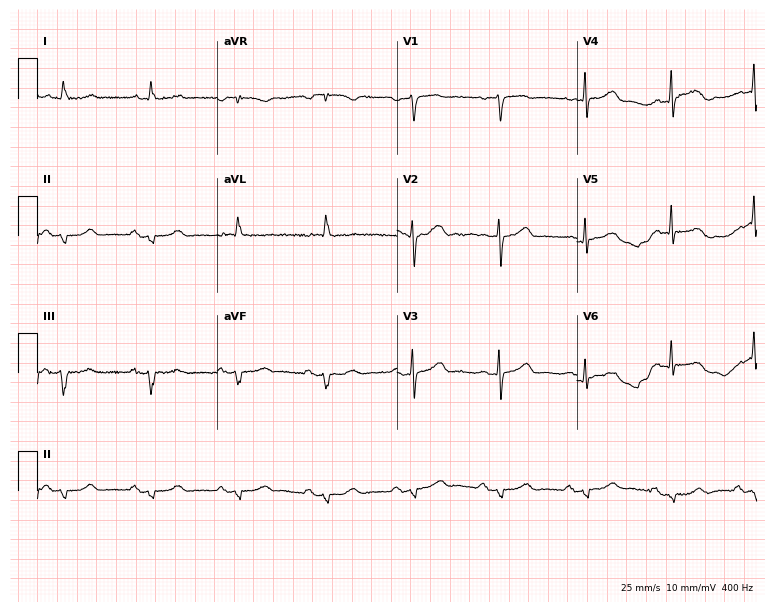
Electrocardiogram (7.3-second recording at 400 Hz), a female patient, 82 years old. Of the six screened findings (first-degree AV block, right bundle branch block (RBBB), left bundle branch block (LBBB), sinus bradycardia, atrial fibrillation (AF), sinus tachycardia), none is recorded.